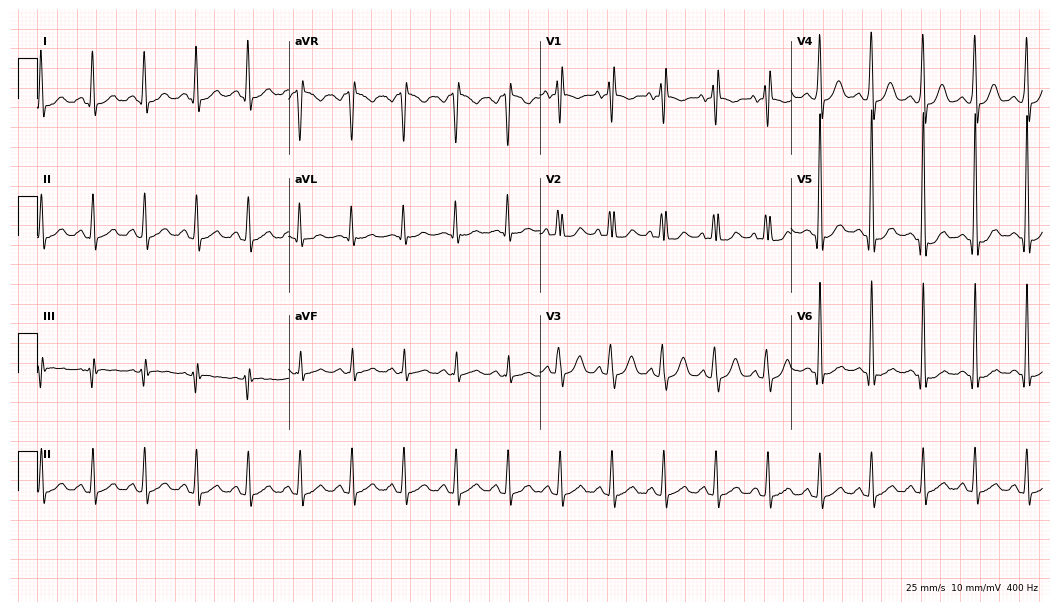
Resting 12-lead electrocardiogram. Patient: a female, 20 years old. The tracing shows sinus tachycardia (a sinus rate of 100 beats per minute or more).